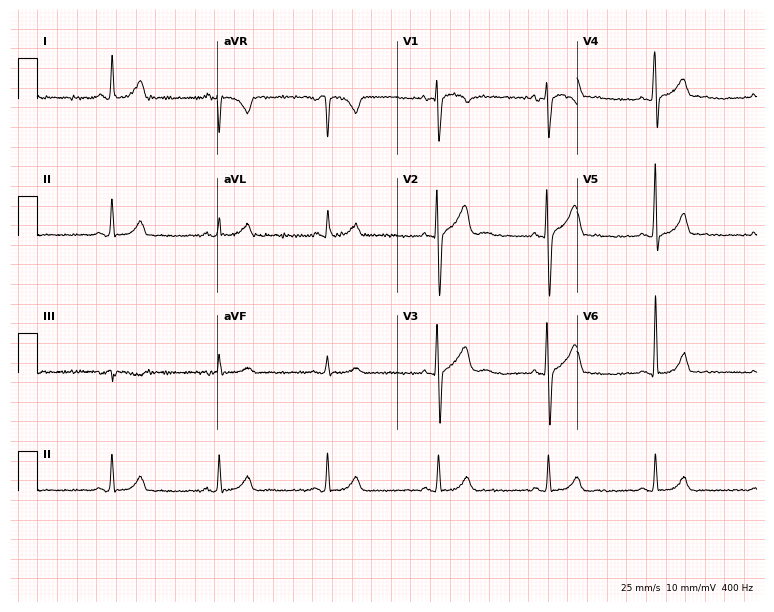
Resting 12-lead electrocardiogram (7.3-second recording at 400 Hz). Patient: a 27-year-old man. Read as a normal ECG.